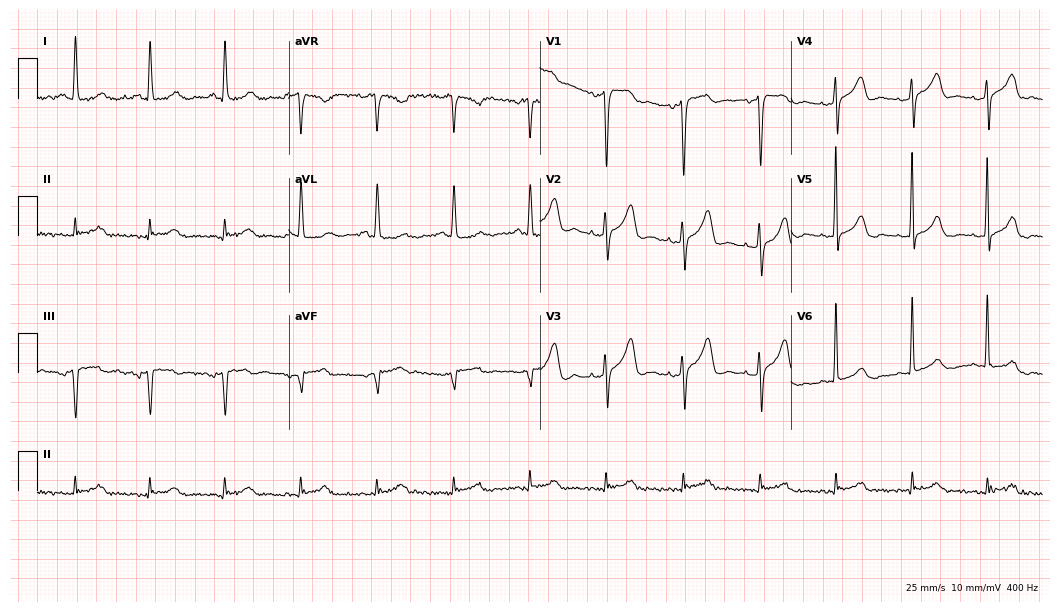
Standard 12-lead ECG recorded from a woman, 76 years old. None of these six findings is recorded: first-degree AV block, right bundle branch block, left bundle branch block, sinus bradycardia, atrial fibrillation, sinus tachycardia. Other findings, if any, are not listed.